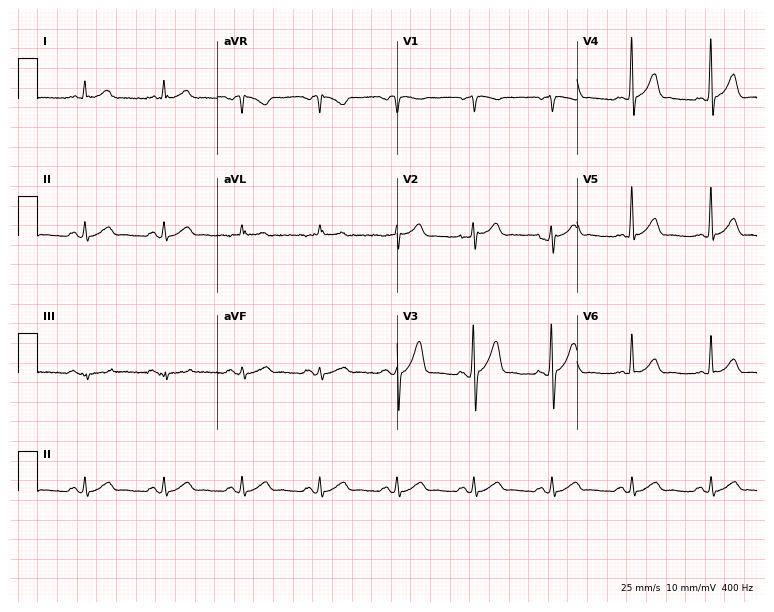
12-lead ECG (7.3-second recording at 400 Hz) from a male patient, 44 years old. Labelled as a normal ECG.